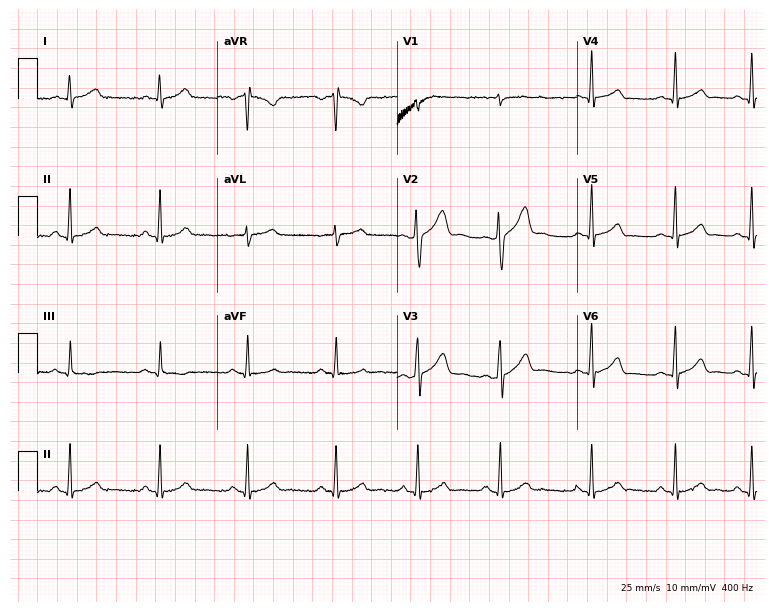
Resting 12-lead electrocardiogram (7.3-second recording at 400 Hz). Patient: a 33-year-old man. None of these six findings is recorded: first-degree AV block, right bundle branch block, left bundle branch block, sinus bradycardia, atrial fibrillation, sinus tachycardia. Only these six findings were labelled.